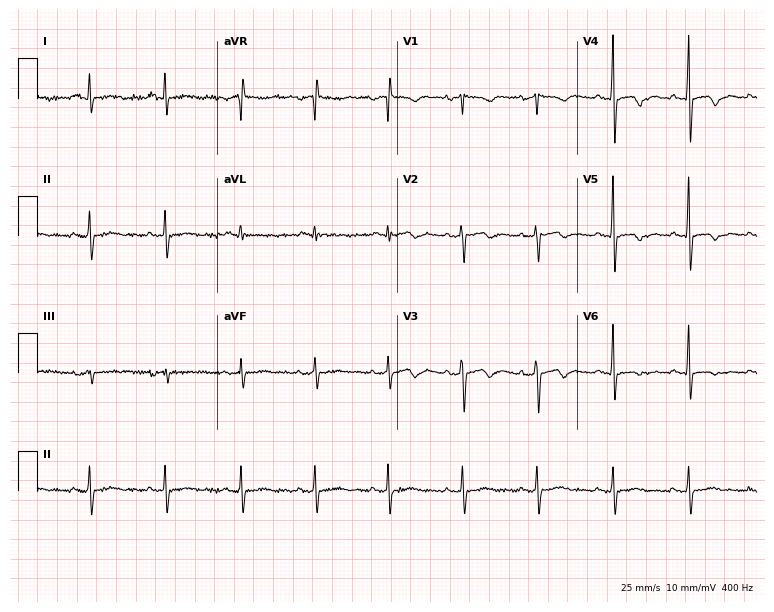
ECG (7.3-second recording at 400 Hz) — a 55-year-old female. Screened for six findings — first-degree AV block, right bundle branch block, left bundle branch block, sinus bradycardia, atrial fibrillation, sinus tachycardia — none is recorded.